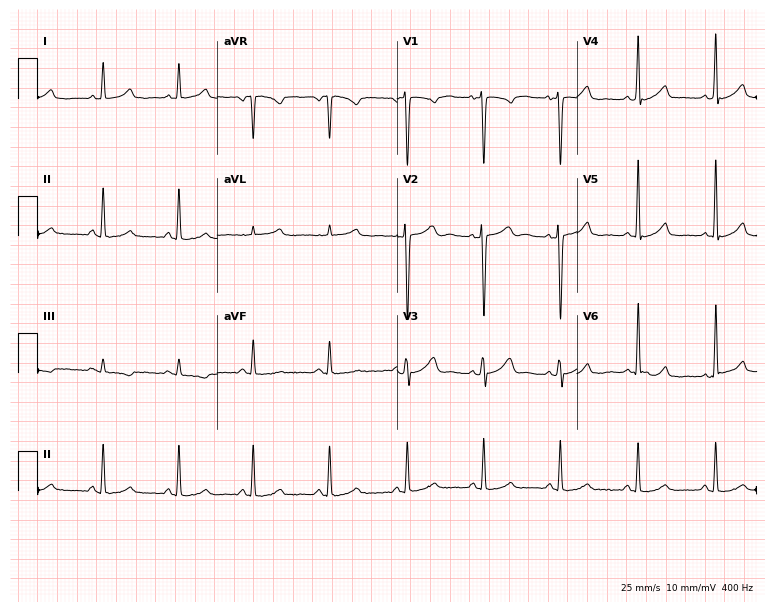
12-lead ECG from a 43-year-old woman. No first-degree AV block, right bundle branch block, left bundle branch block, sinus bradycardia, atrial fibrillation or sinus tachycardia recorded for this tracing.